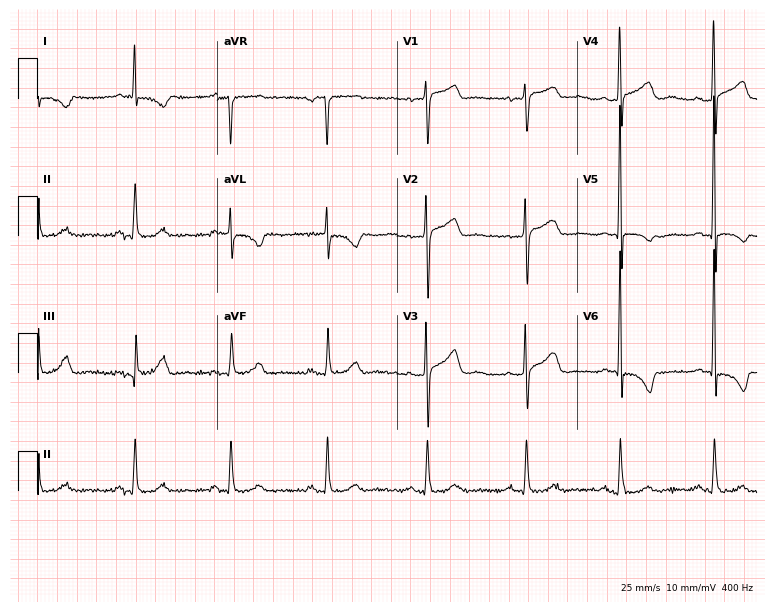
12-lead ECG from a 71-year-old female (7.3-second recording at 400 Hz). No first-degree AV block, right bundle branch block, left bundle branch block, sinus bradycardia, atrial fibrillation or sinus tachycardia recorded for this tracing.